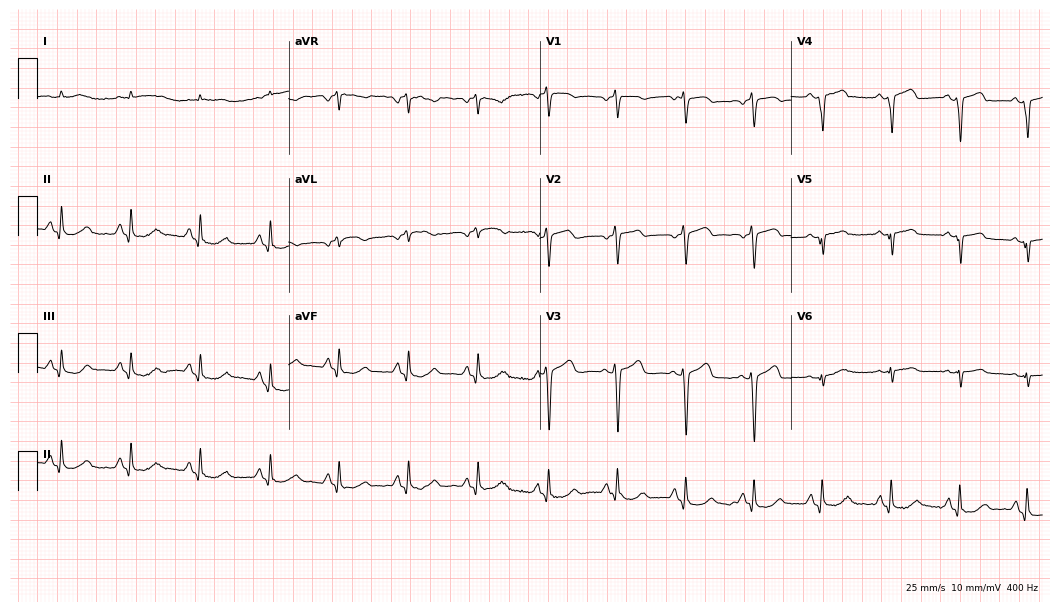
Standard 12-lead ECG recorded from a male patient, 80 years old (10.2-second recording at 400 Hz). None of these six findings is recorded: first-degree AV block, right bundle branch block, left bundle branch block, sinus bradycardia, atrial fibrillation, sinus tachycardia. Findings outside these six are not listed.